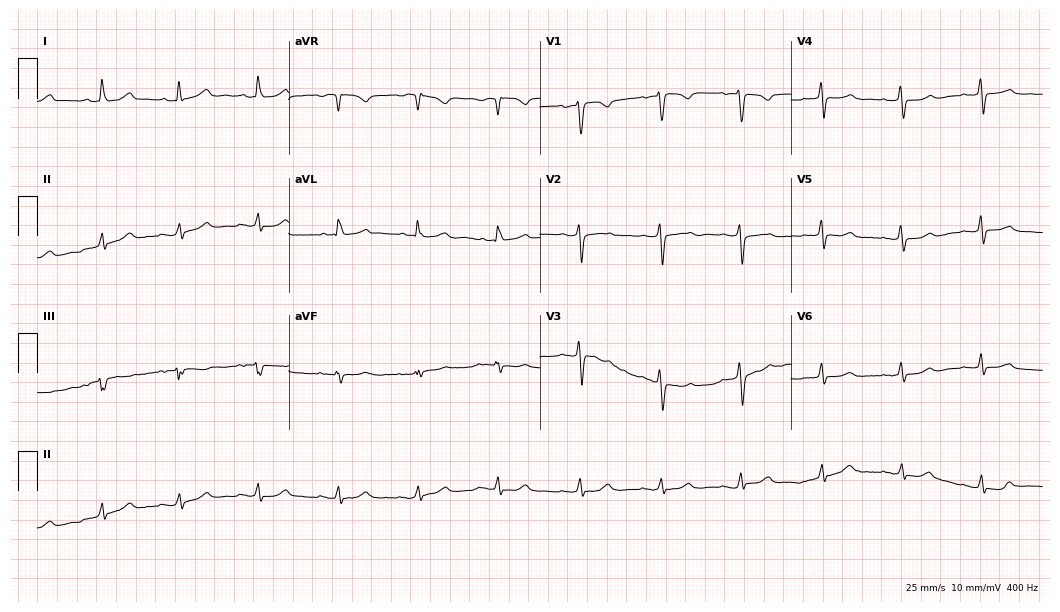
Electrocardiogram (10.2-second recording at 400 Hz), a female, 46 years old. Overall reading on record: normal ECG.